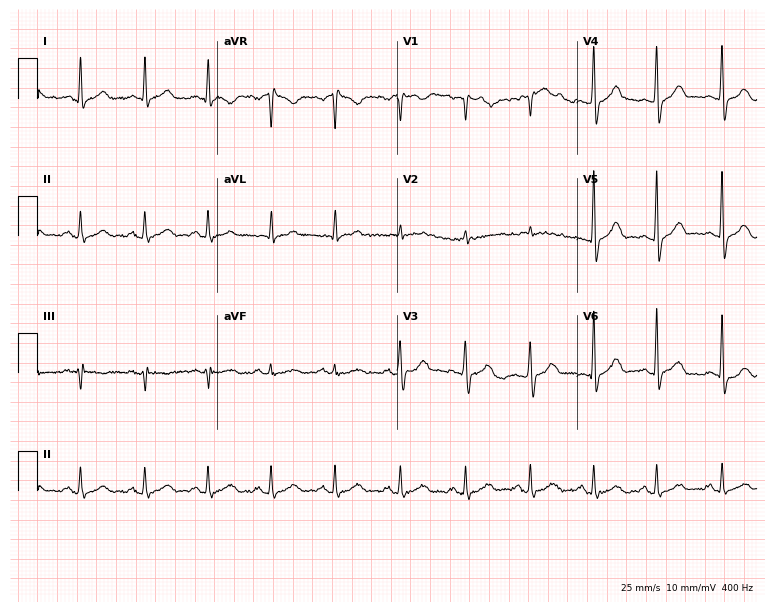
12-lead ECG from a 47-year-old male patient. No first-degree AV block, right bundle branch block, left bundle branch block, sinus bradycardia, atrial fibrillation or sinus tachycardia recorded for this tracing. Other findings, if any, are not listed.